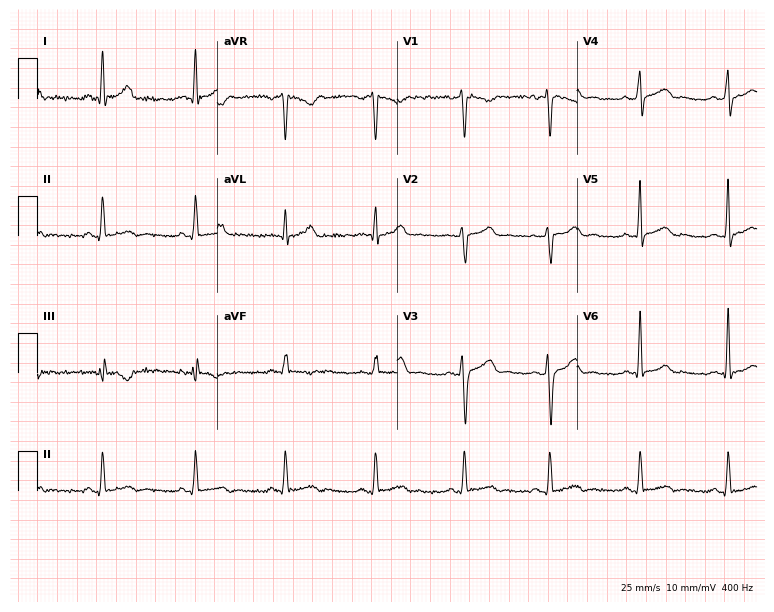
ECG — a male, 35 years old. Labelled as a normal ECG.